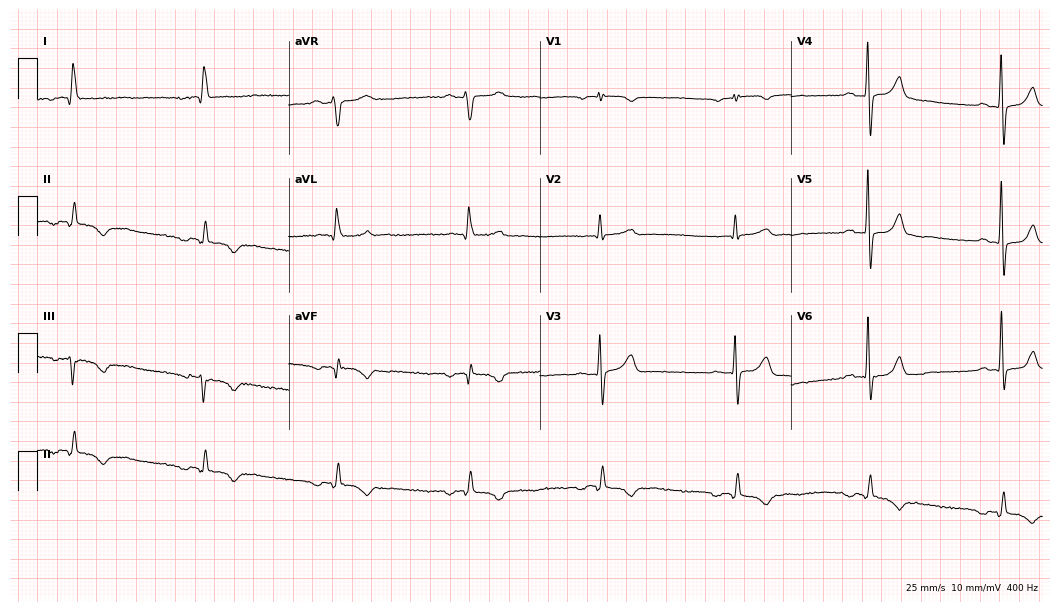
Resting 12-lead electrocardiogram. Patient: a male, 79 years old. None of these six findings is recorded: first-degree AV block, right bundle branch block, left bundle branch block, sinus bradycardia, atrial fibrillation, sinus tachycardia.